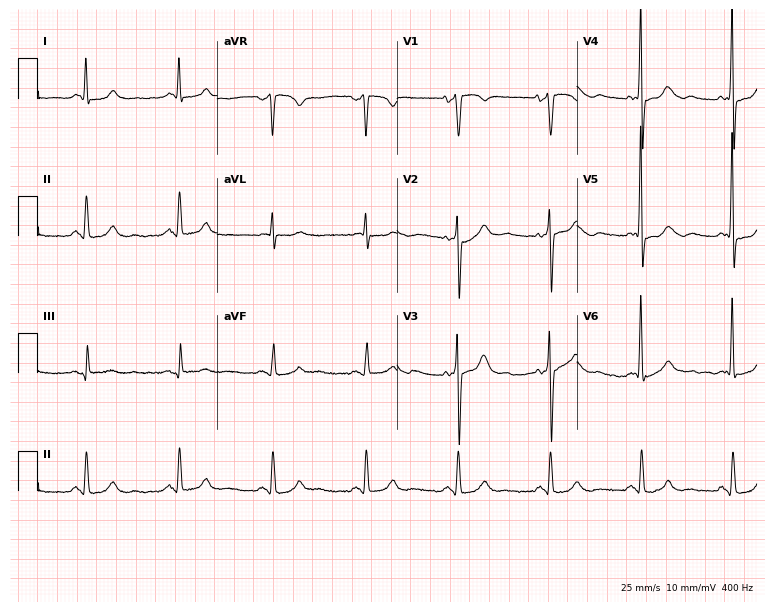
12-lead ECG (7.3-second recording at 400 Hz) from a 78-year-old male. Labelled as a normal ECG.